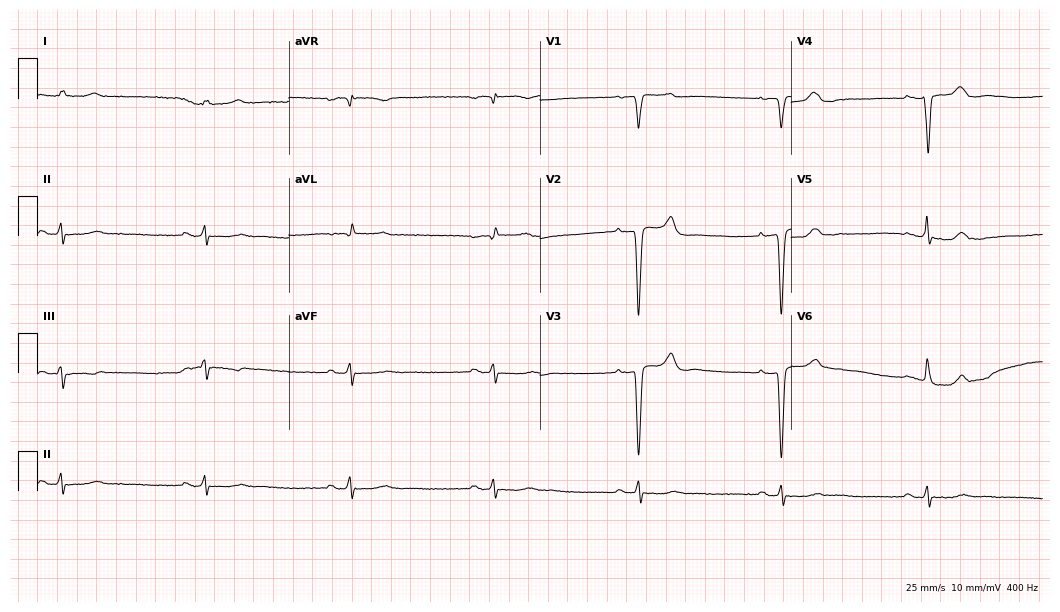
Resting 12-lead electrocardiogram. Patient: a man, 69 years old. The tracing shows sinus bradycardia (a sinus rate of 50 beats per minute or less).